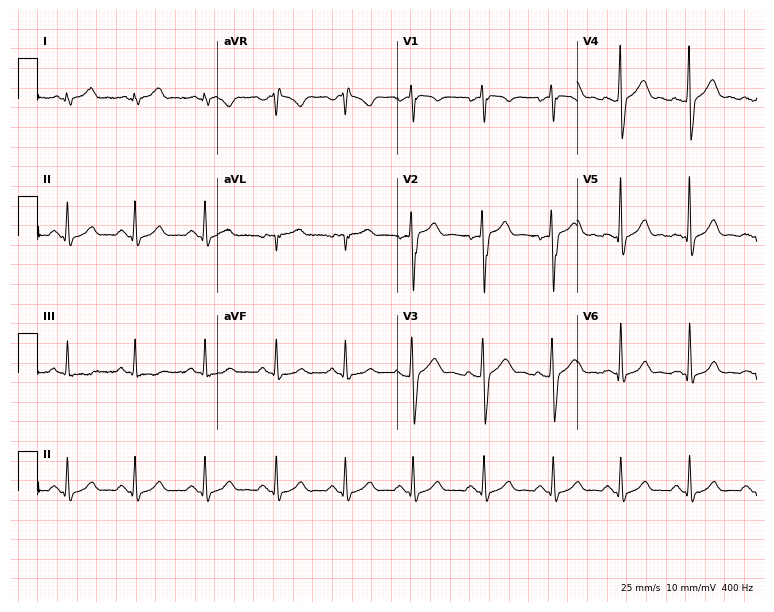
Electrocardiogram (7.3-second recording at 400 Hz), a 26-year-old man. Overall reading on record: normal ECG.